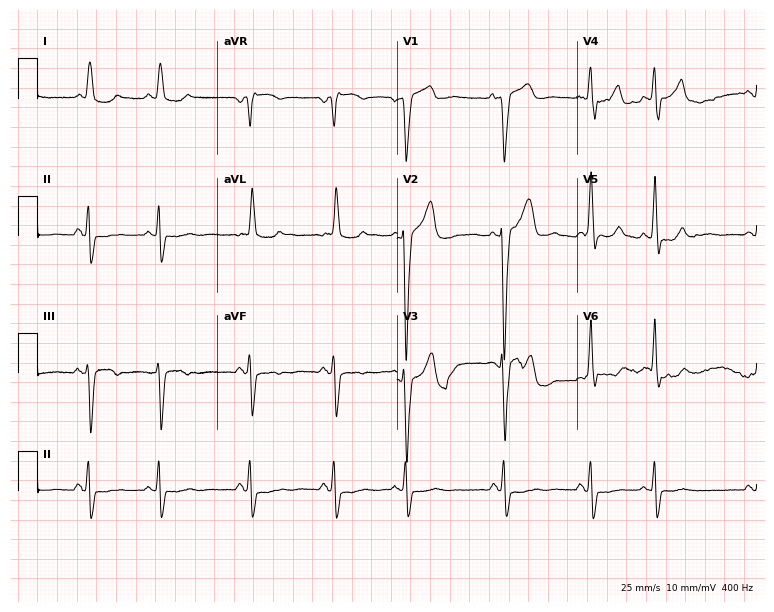
Resting 12-lead electrocardiogram (7.3-second recording at 400 Hz). Patient: a 77-year-old man. None of these six findings is recorded: first-degree AV block, right bundle branch block, left bundle branch block, sinus bradycardia, atrial fibrillation, sinus tachycardia. Findings outside these six are not listed.